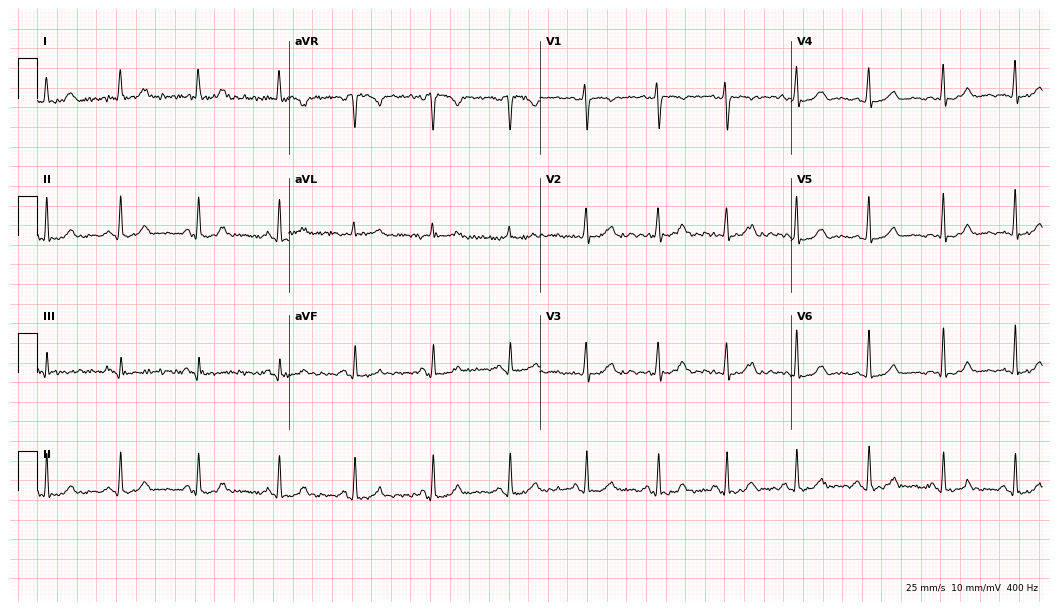
ECG — a 43-year-old female patient. Labelled as a normal ECG.